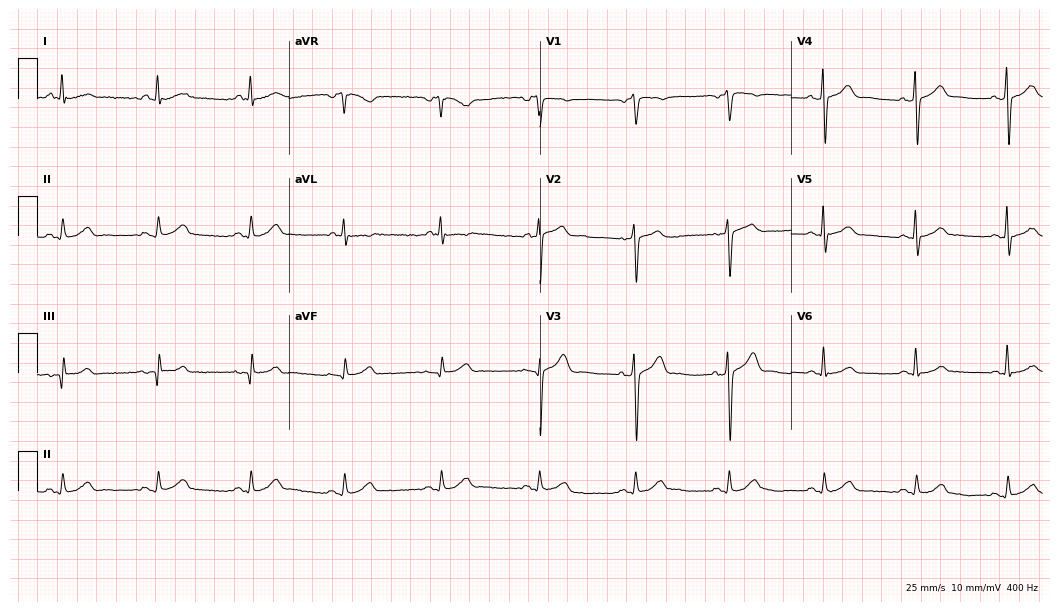
12-lead ECG from a man, 47 years old (10.2-second recording at 400 Hz). Recorded interpretation: within normal limits.